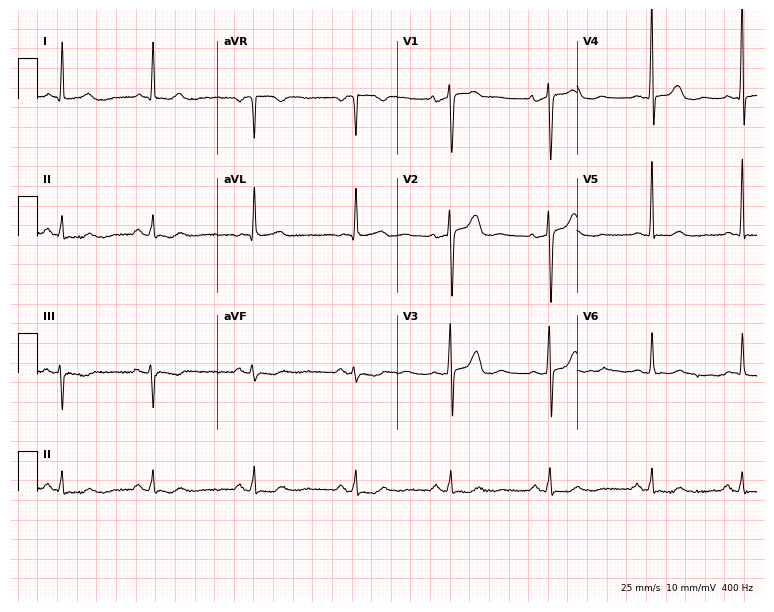
12-lead ECG (7.3-second recording at 400 Hz) from a 63-year-old female patient. Screened for six findings — first-degree AV block, right bundle branch block, left bundle branch block, sinus bradycardia, atrial fibrillation, sinus tachycardia — none is recorded. Other findings, if any, are not listed.